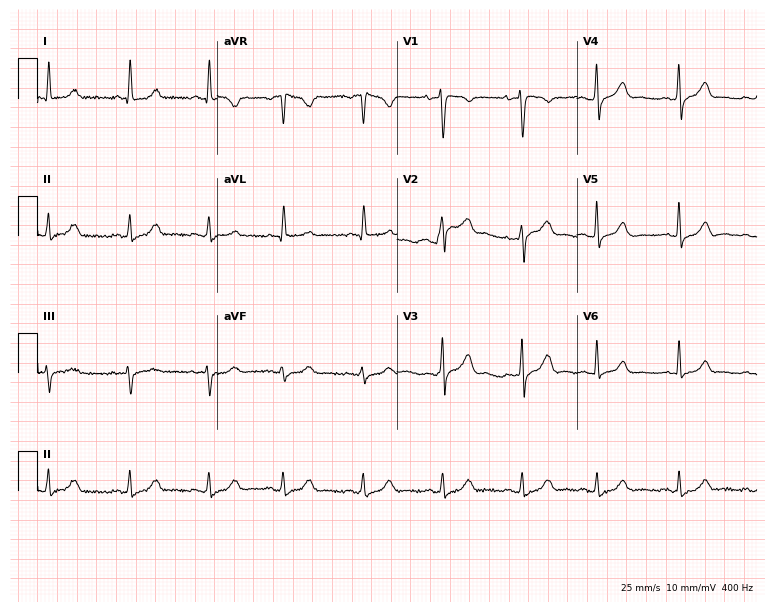
Standard 12-lead ECG recorded from a 58-year-old female. None of these six findings is recorded: first-degree AV block, right bundle branch block, left bundle branch block, sinus bradycardia, atrial fibrillation, sinus tachycardia. Other findings, if any, are not listed.